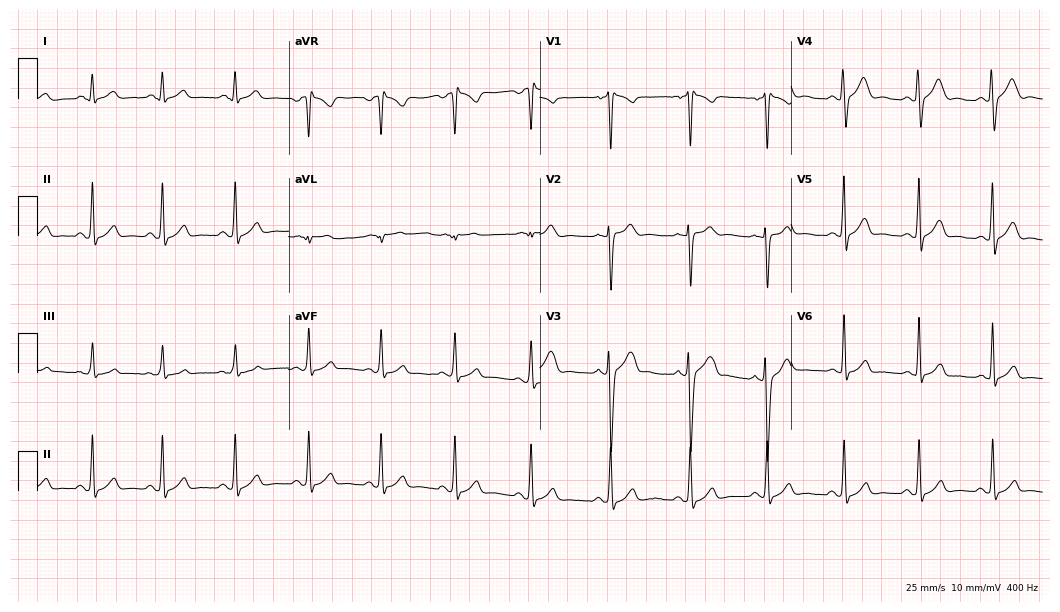
12-lead ECG (10.2-second recording at 400 Hz) from a 21-year-old male. Screened for six findings — first-degree AV block, right bundle branch block, left bundle branch block, sinus bradycardia, atrial fibrillation, sinus tachycardia — none is recorded. Findings outside these six are not listed.